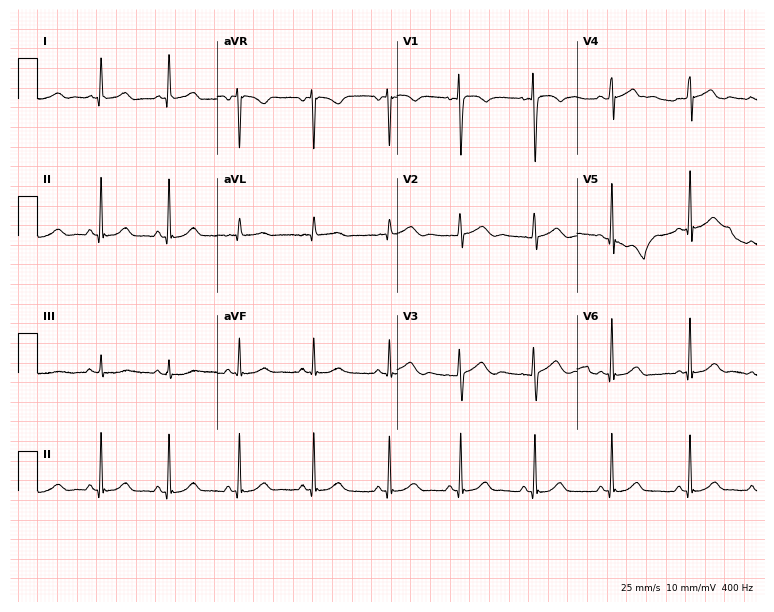
Electrocardiogram (7.3-second recording at 400 Hz), a 20-year-old female. Overall reading on record: normal ECG.